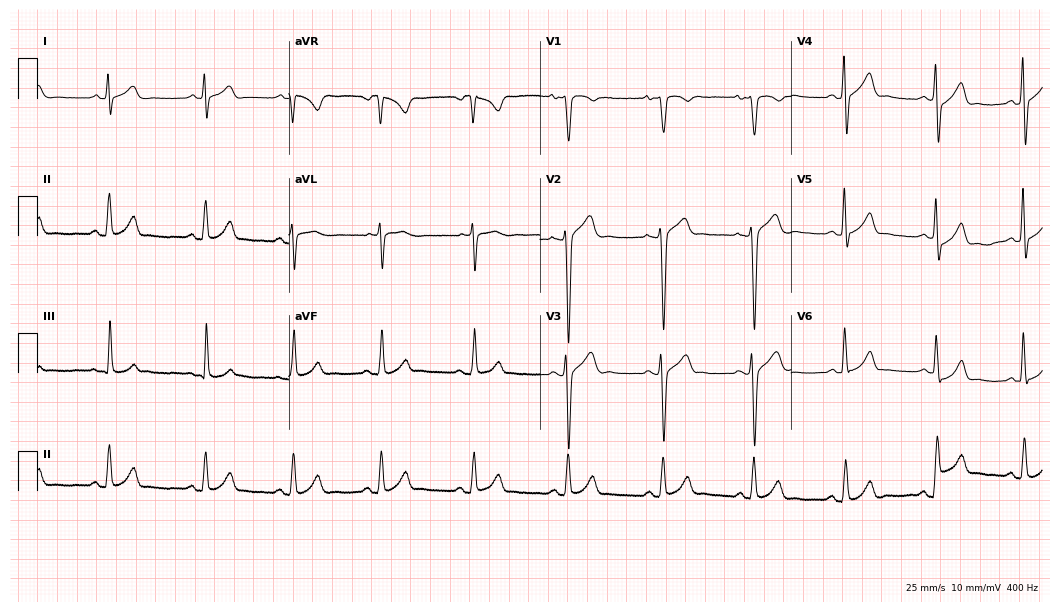
Standard 12-lead ECG recorded from a 35-year-old male. Read as a normal ECG.